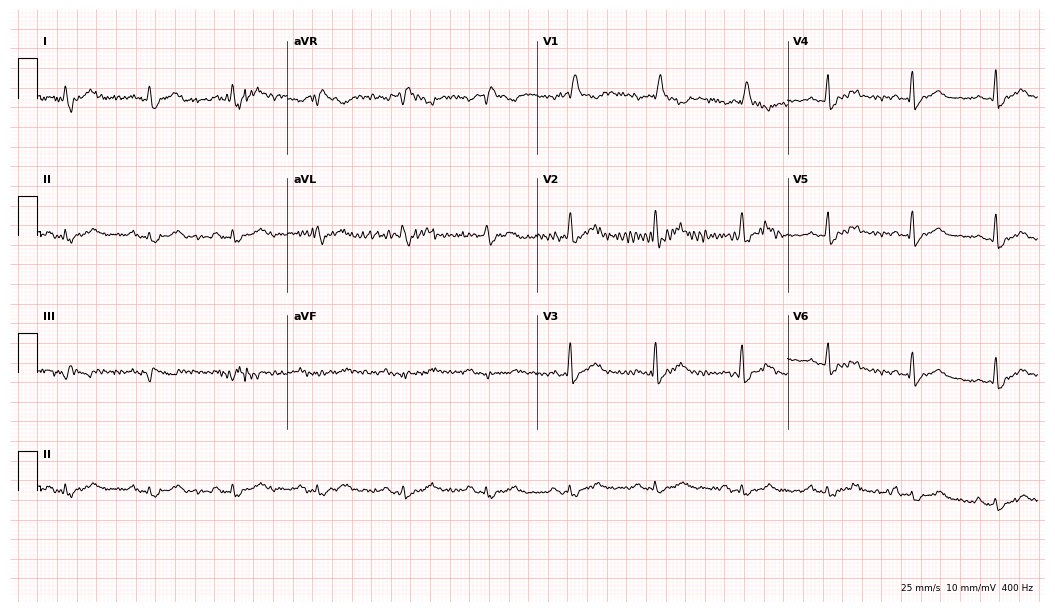
12-lead ECG (10.2-second recording at 400 Hz) from a 62-year-old male. Findings include right bundle branch block.